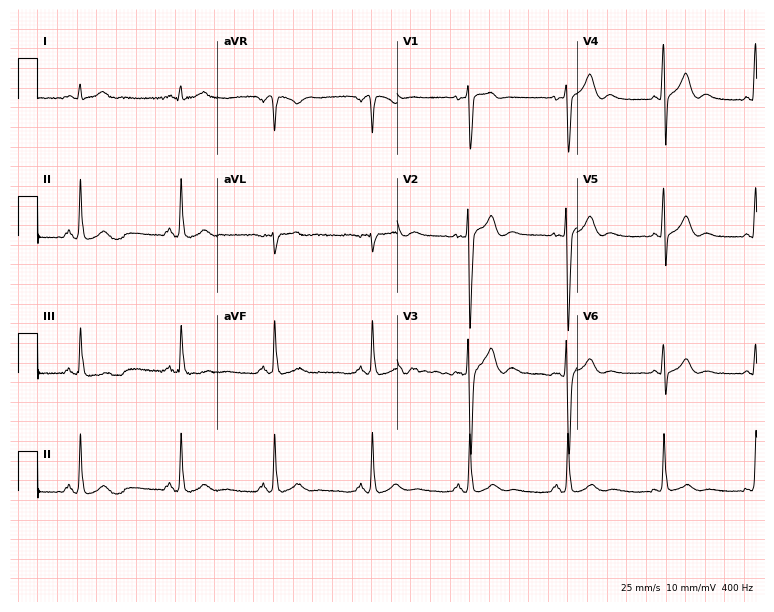
12-lead ECG (7.3-second recording at 400 Hz) from a 19-year-old male. Screened for six findings — first-degree AV block, right bundle branch block (RBBB), left bundle branch block (LBBB), sinus bradycardia, atrial fibrillation (AF), sinus tachycardia — none is recorded. Only these six findings were labelled.